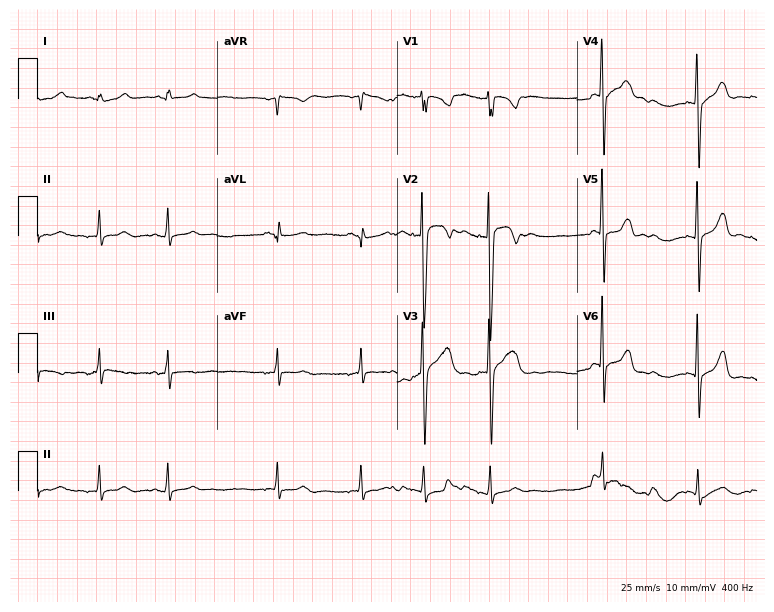
Standard 12-lead ECG recorded from a male patient, 17 years old (7.3-second recording at 400 Hz). Read as a normal ECG.